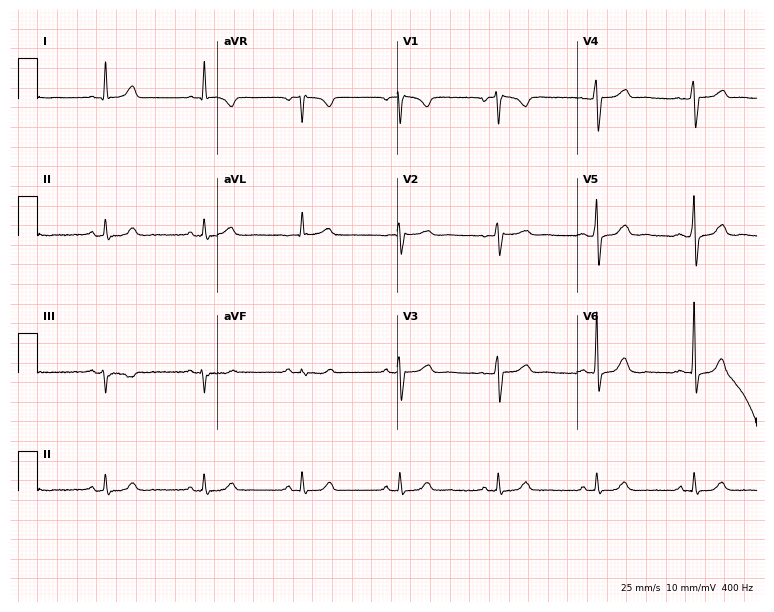
12-lead ECG from a male patient, 70 years old. Screened for six findings — first-degree AV block, right bundle branch block, left bundle branch block, sinus bradycardia, atrial fibrillation, sinus tachycardia — none is recorded.